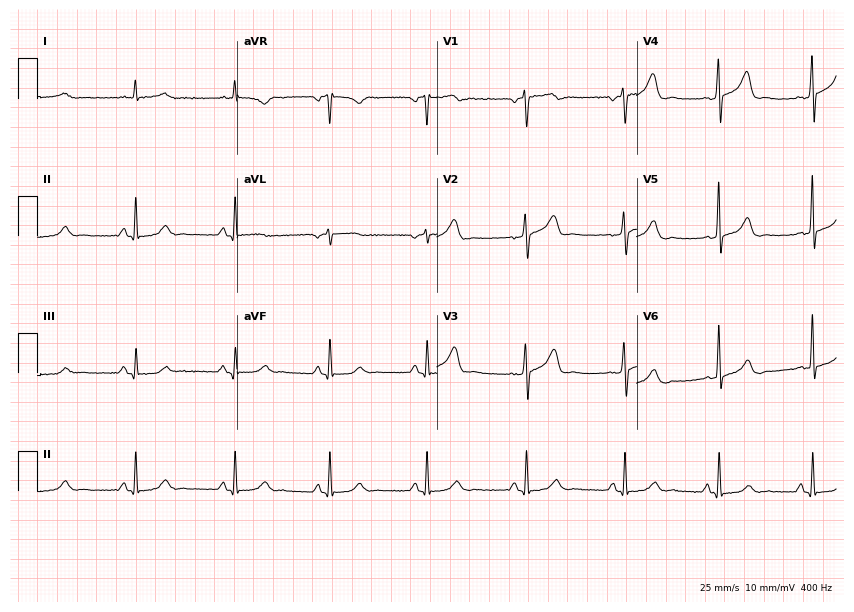
12-lead ECG from a male patient, 63 years old. No first-degree AV block, right bundle branch block (RBBB), left bundle branch block (LBBB), sinus bradycardia, atrial fibrillation (AF) or sinus tachycardia recorded for this tracing. Other findings, if any, are not listed.